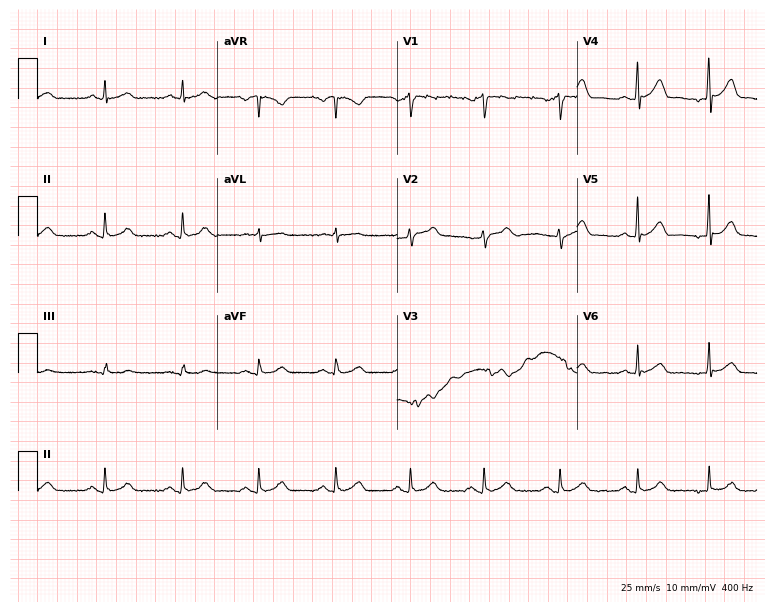
ECG (7.3-second recording at 400 Hz) — a 50-year-old male patient. Labelled as a normal ECG.